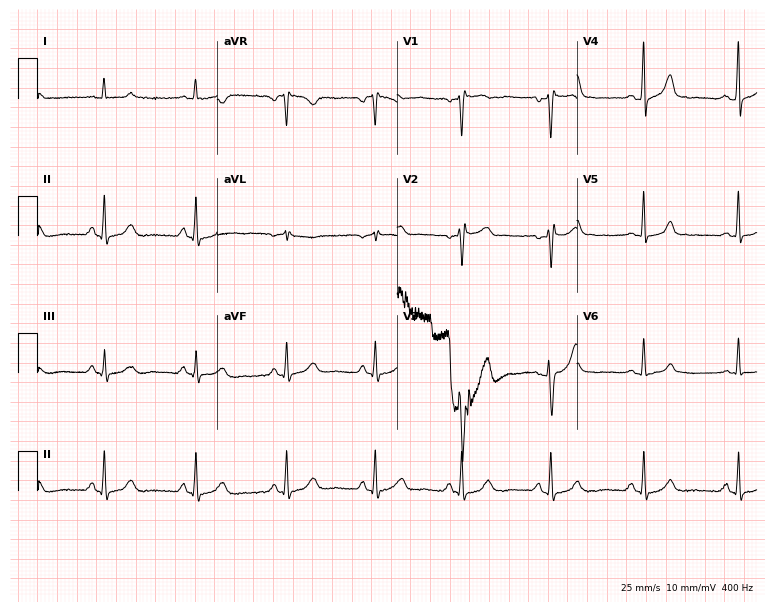
ECG (7.3-second recording at 400 Hz) — a woman, 48 years old. Screened for six findings — first-degree AV block, right bundle branch block, left bundle branch block, sinus bradycardia, atrial fibrillation, sinus tachycardia — none is recorded.